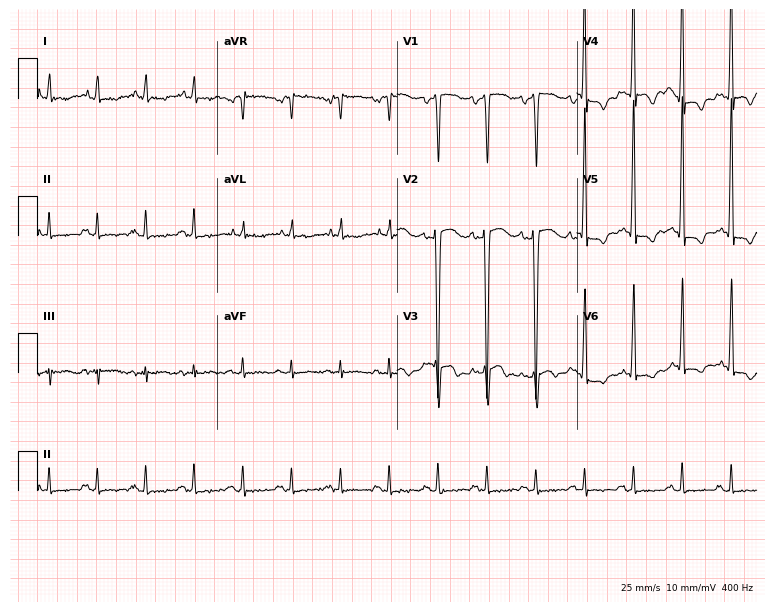
Resting 12-lead electrocardiogram (7.3-second recording at 400 Hz). Patient: a male, 28 years old. The tracing shows sinus tachycardia (a sinus rate of 100 beats per minute or more).